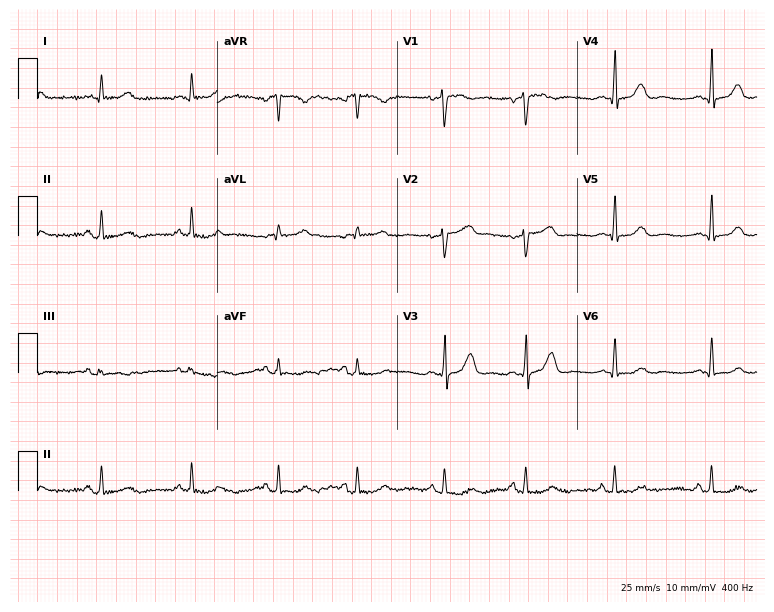
12-lead ECG (7.3-second recording at 400 Hz) from a female, 44 years old. Screened for six findings — first-degree AV block, right bundle branch block, left bundle branch block, sinus bradycardia, atrial fibrillation, sinus tachycardia — none is recorded.